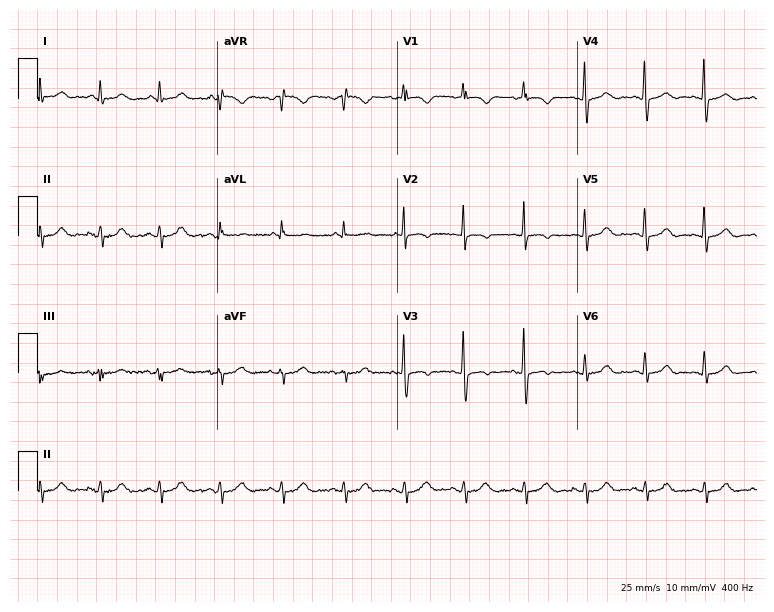
ECG (7.3-second recording at 400 Hz) — a 53-year-old woman. Screened for six findings — first-degree AV block, right bundle branch block, left bundle branch block, sinus bradycardia, atrial fibrillation, sinus tachycardia — none is recorded.